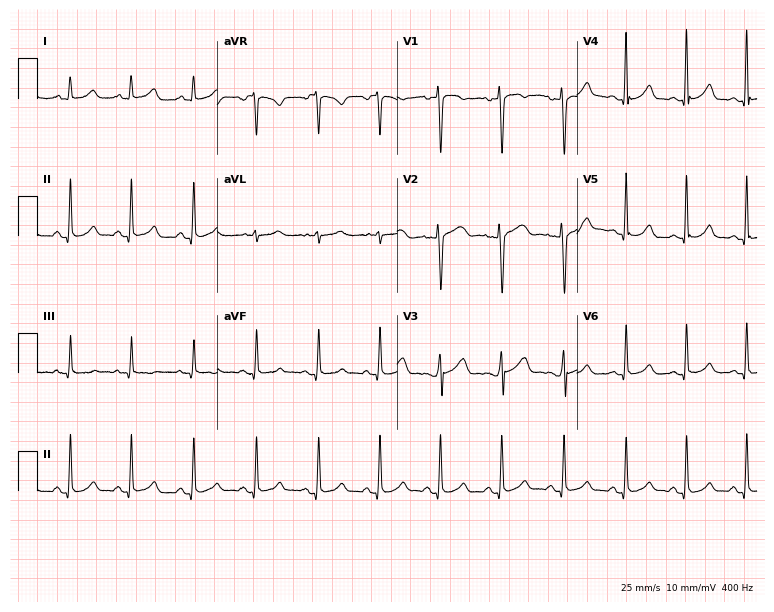
Electrocardiogram, a 34-year-old female. Overall reading on record: normal ECG.